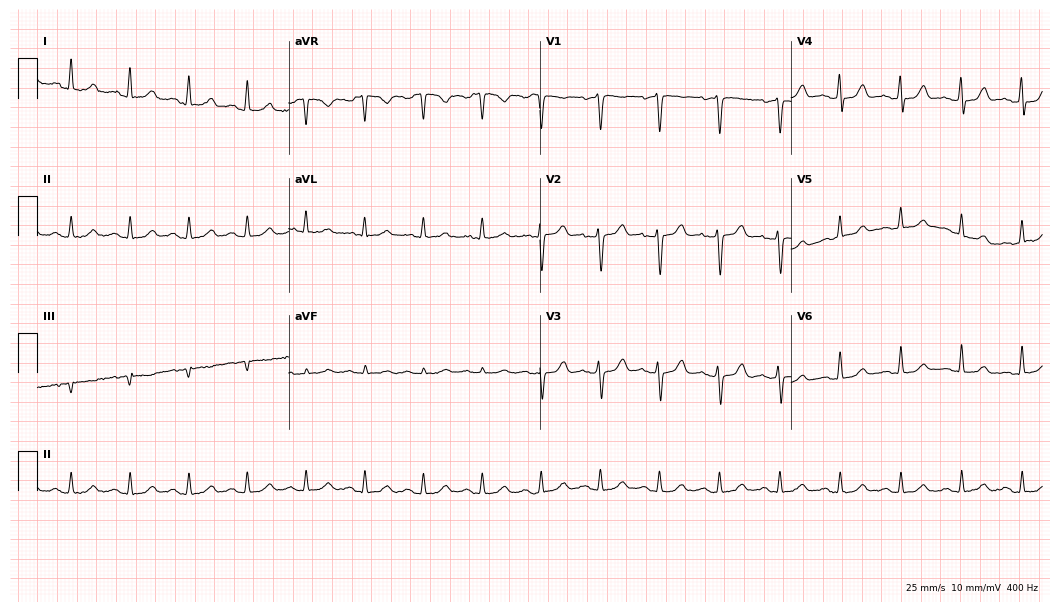
Electrocardiogram, a 51-year-old female patient. Of the six screened findings (first-degree AV block, right bundle branch block, left bundle branch block, sinus bradycardia, atrial fibrillation, sinus tachycardia), none is recorded. Other findings, if any, are not listed.